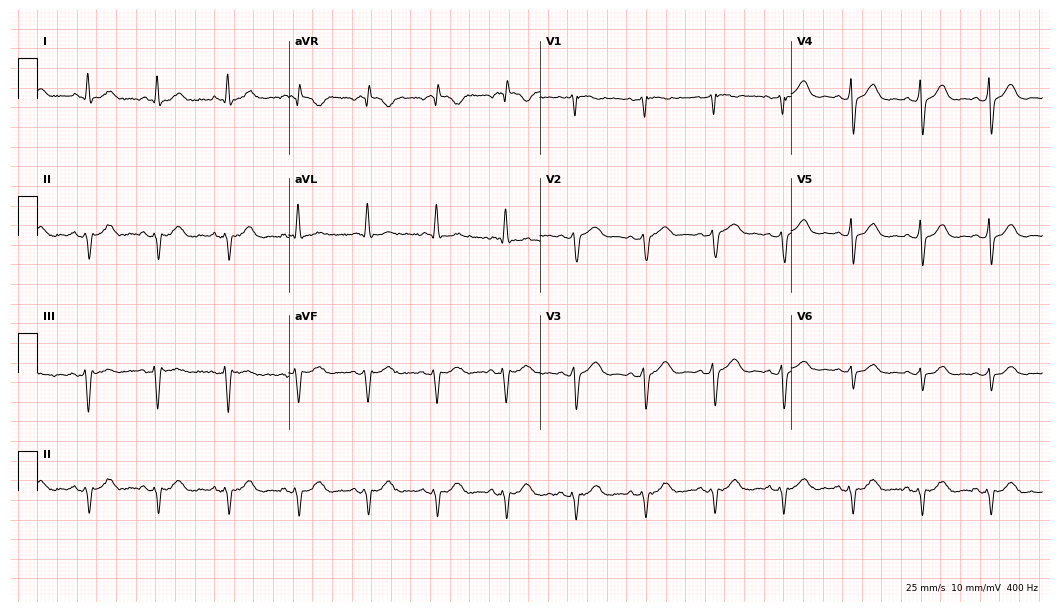
Resting 12-lead electrocardiogram. Patient: a woman, 83 years old. None of these six findings is recorded: first-degree AV block, right bundle branch block, left bundle branch block, sinus bradycardia, atrial fibrillation, sinus tachycardia. Findings outside these six are not listed.